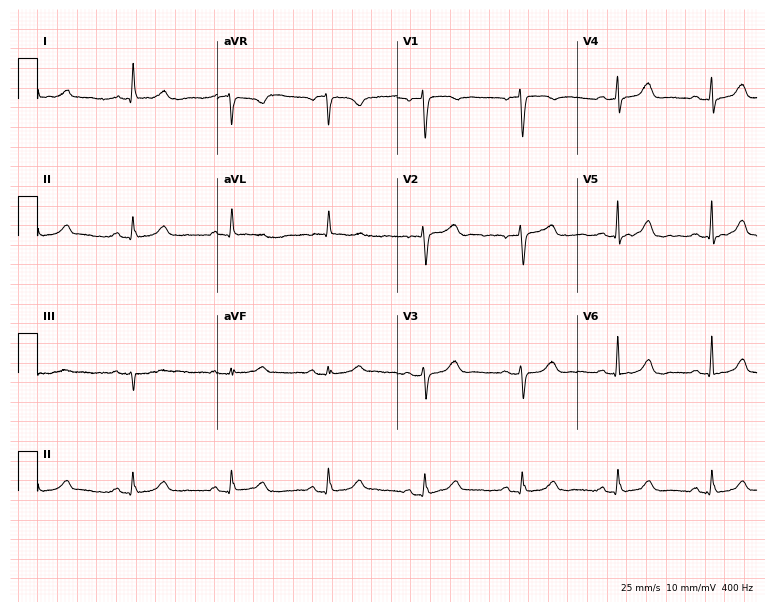
Standard 12-lead ECG recorded from a female, 70 years old. Read as a normal ECG.